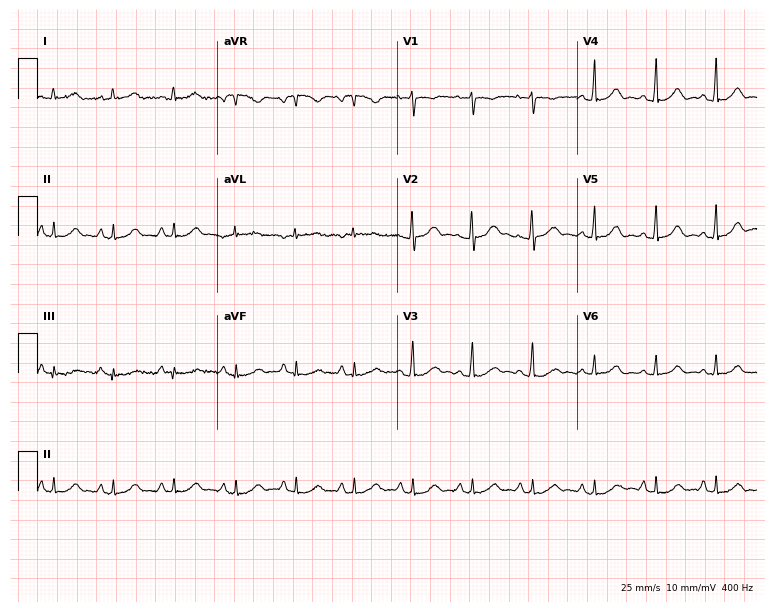
Standard 12-lead ECG recorded from a 27-year-old female patient (7.3-second recording at 400 Hz). Read as a normal ECG.